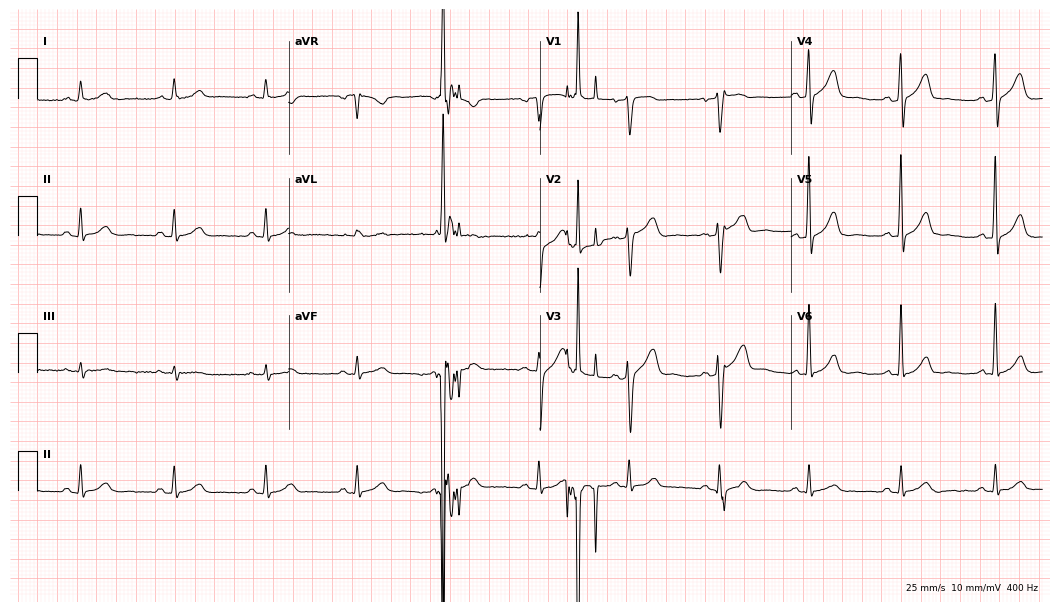
12-lead ECG from a male patient, 63 years old. Recorded interpretation: within normal limits.